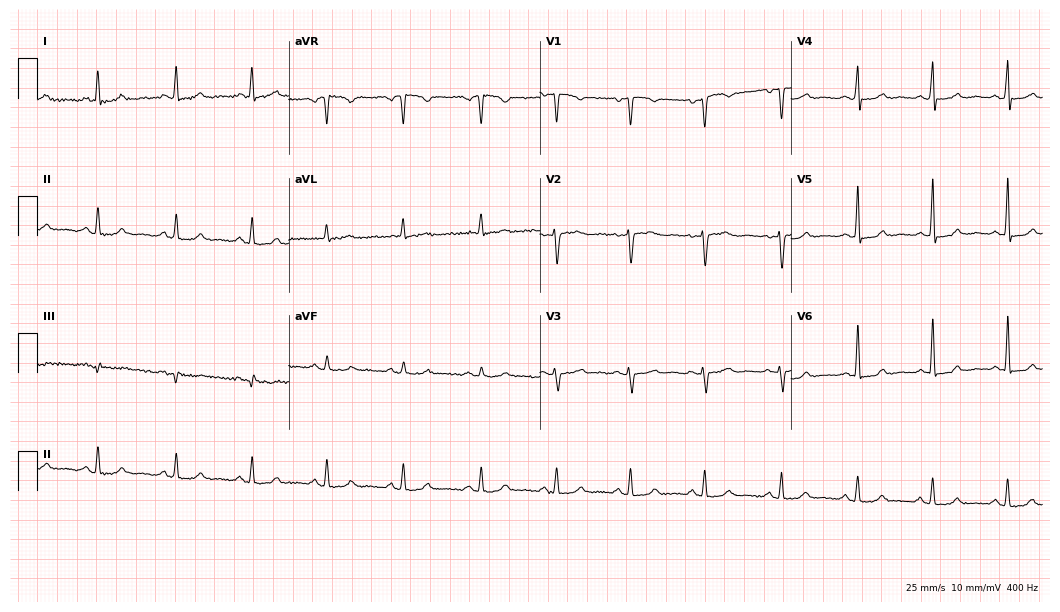
12-lead ECG from a 45-year-old woman. No first-degree AV block, right bundle branch block, left bundle branch block, sinus bradycardia, atrial fibrillation or sinus tachycardia recorded for this tracing. Findings outside these six are not listed.